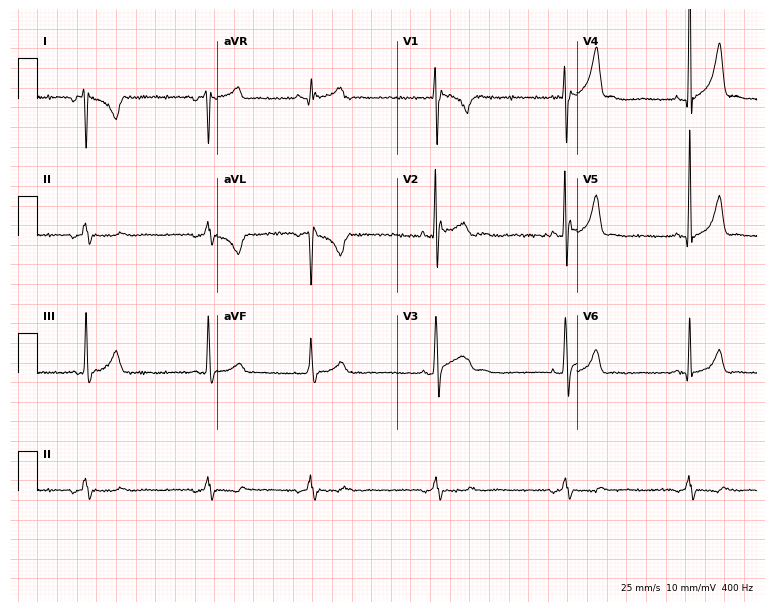
ECG (7.3-second recording at 400 Hz) — a male patient, 18 years old. Screened for six findings — first-degree AV block, right bundle branch block (RBBB), left bundle branch block (LBBB), sinus bradycardia, atrial fibrillation (AF), sinus tachycardia — none is recorded. Other findings, if any, are not listed.